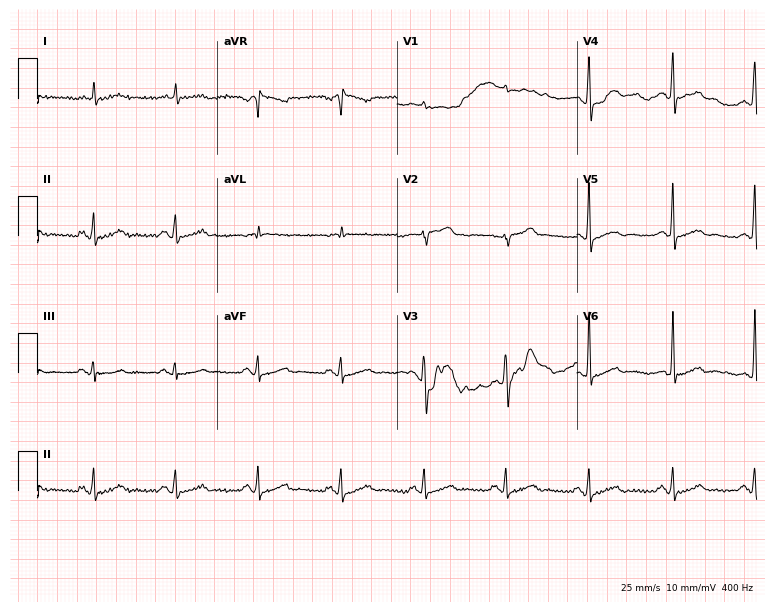
Resting 12-lead electrocardiogram (7.3-second recording at 400 Hz). Patient: a male, 70 years old. Read as a normal ECG.